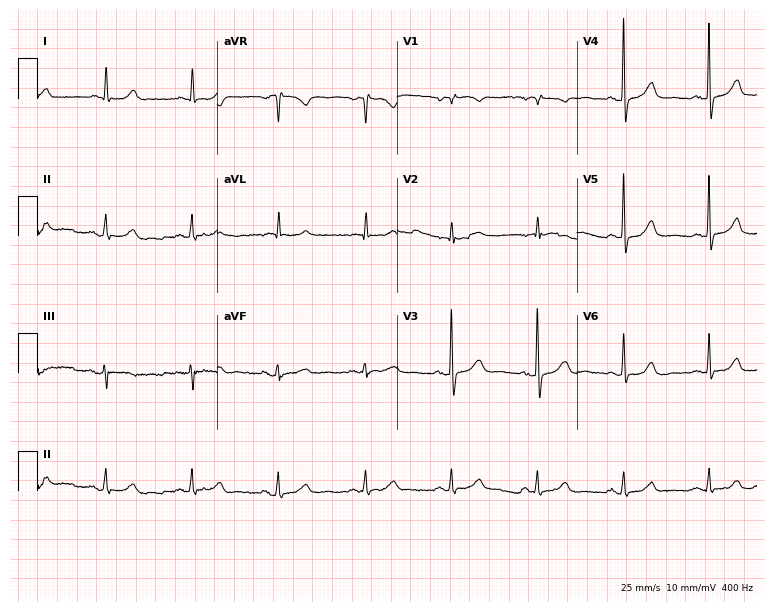
Electrocardiogram (7.3-second recording at 400 Hz), a female, 82 years old. Overall reading on record: normal ECG.